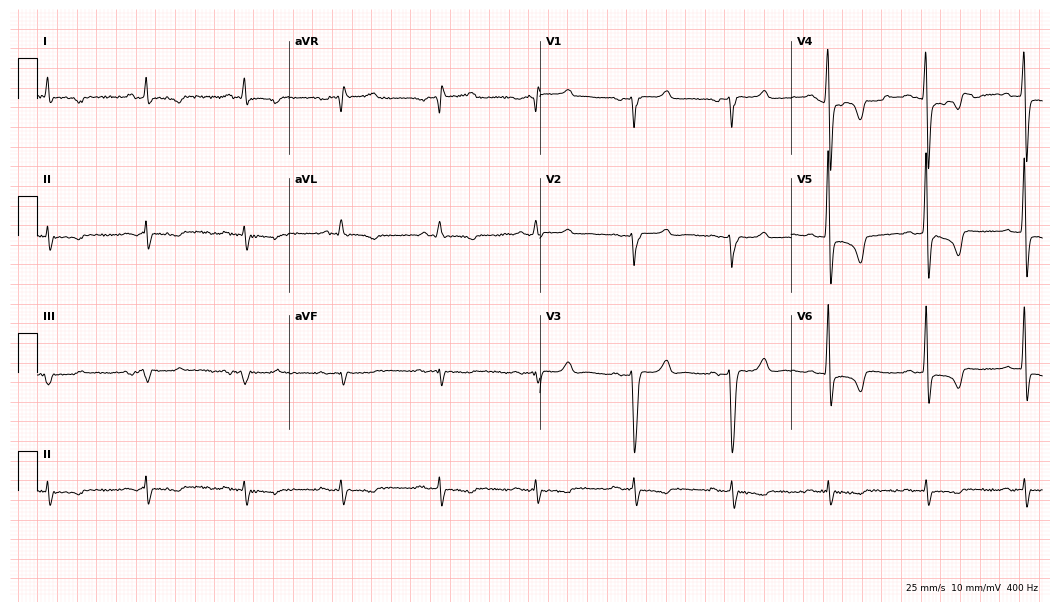
Electrocardiogram, a 64-year-old male patient. Of the six screened findings (first-degree AV block, right bundle branch block, left bundle branch block, sinus bradycardia, atrial fibrillation, sinus tachycardia), none is recorded. Other findings, if any, are not listed.